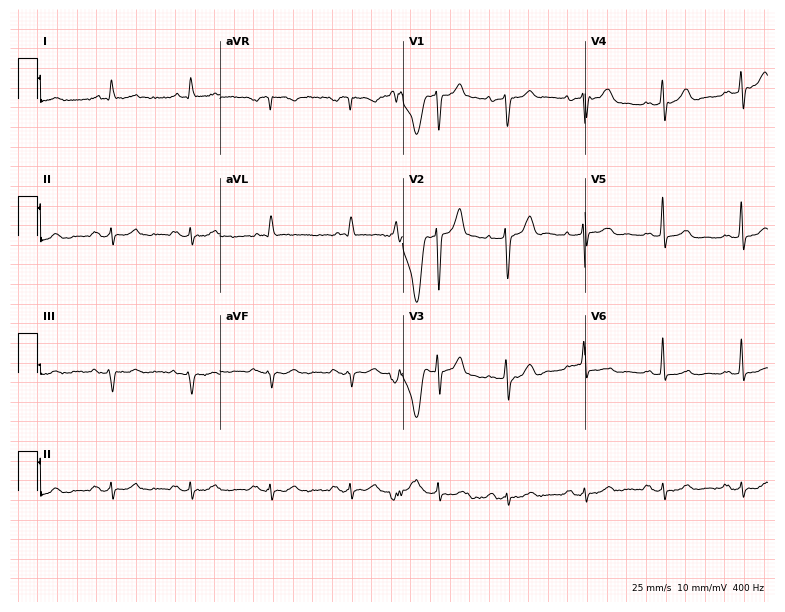
12-lead ECG from a 73-year-old man. Screened for six findings — first-degree AV block, right bundle branch block, left bundle branch block, sinus bradycardia, atrial fibrillation, sinus tachycardia — none is recorded. Other findings, if any, are not listed.